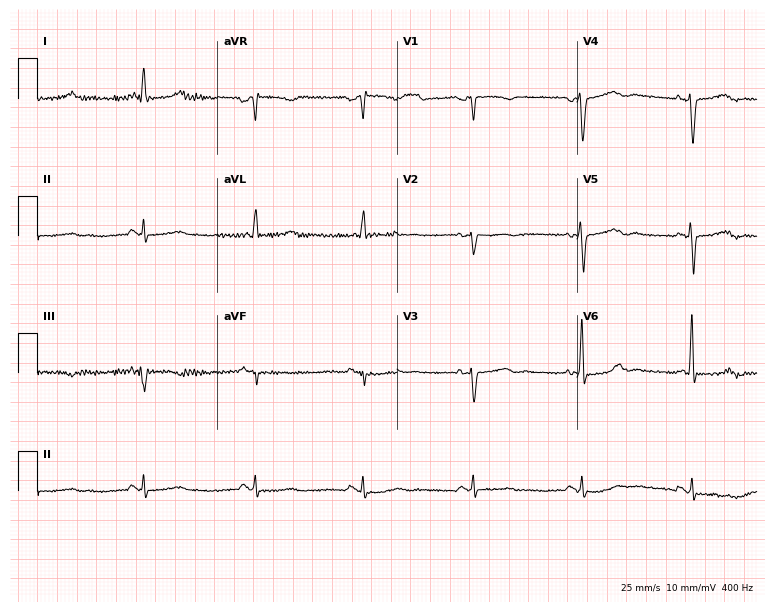
12-lead ECG from a 55-year-old woman. No first-degree AV block, right bundle branch block, left bundle branch block, sinus bradycardia, atrial fibrillation or sinus tachycardia recorded for this tracing.